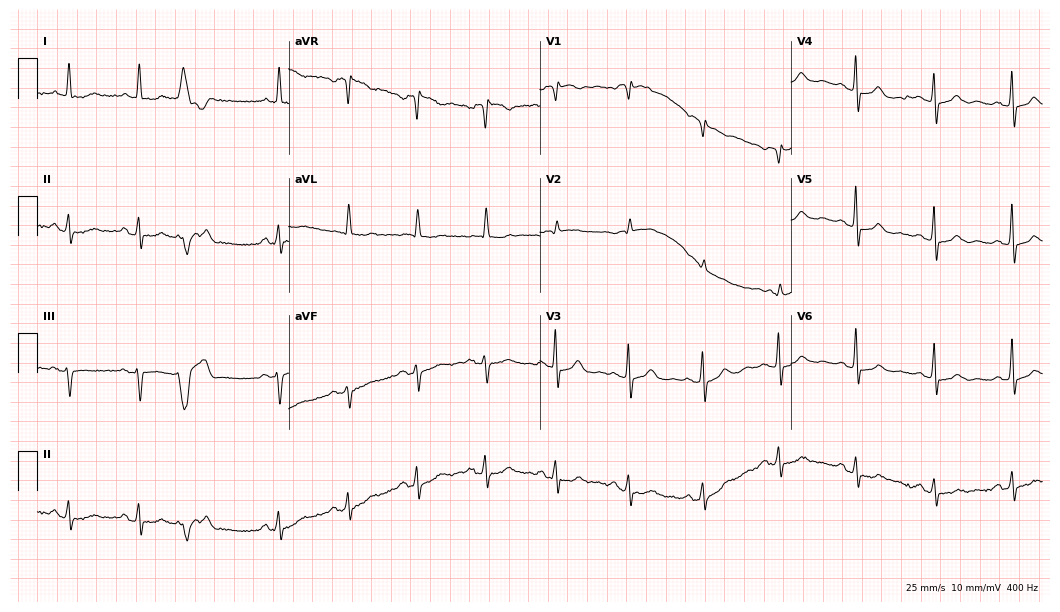
Standard 12-lead ECG recorded from an 83-year-old woman. None of these six findings is recorded: first-degree AV block, right bundle branch block, left bundle branch block, sinus bradycardia, atrial fibrillation, sinus tachycardia. Findings outside these six are not listed.